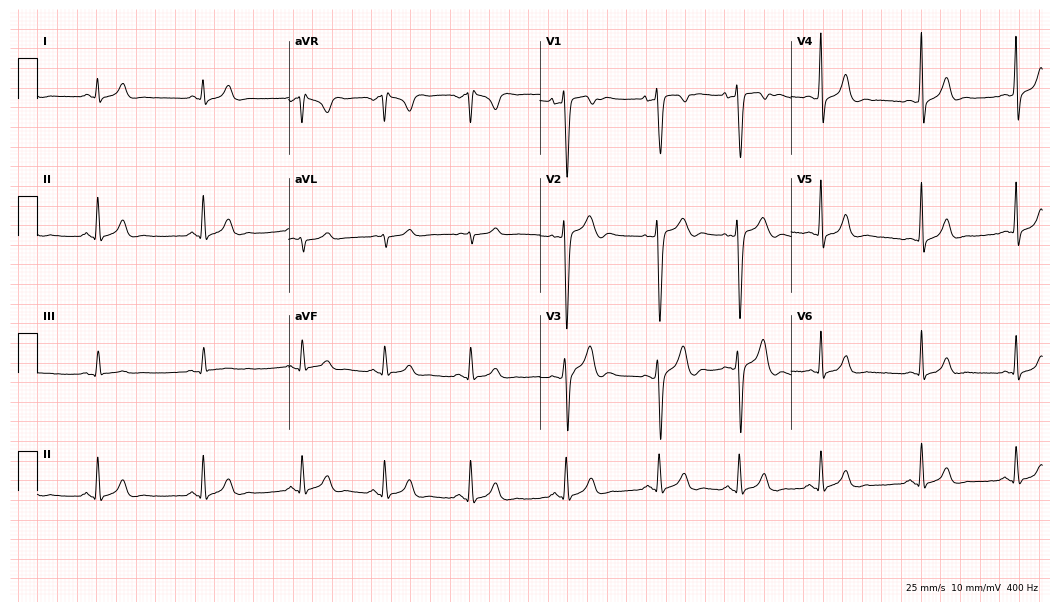
Standard 12-lead ECG recorded from a 19-year-old male patient. Read as a normal ECG.